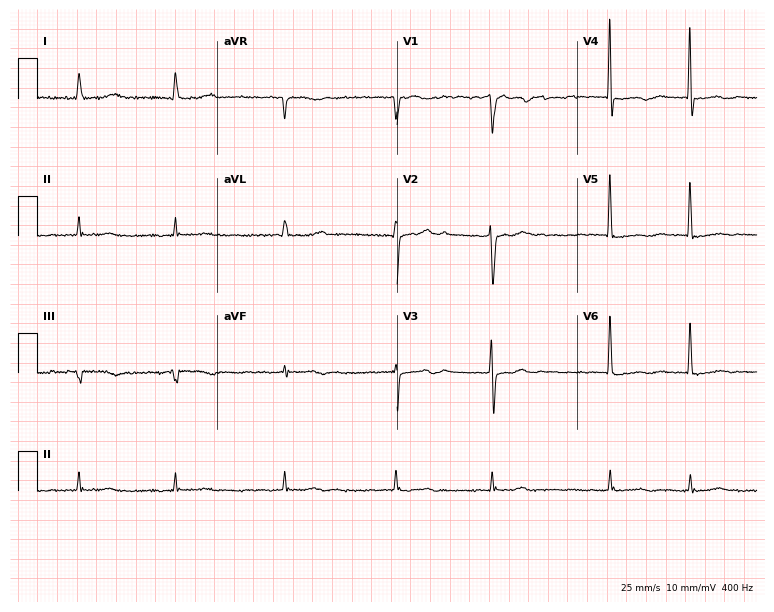
Standard 12-lead ECG recorded from an 82-year-old female patient. The tracing shows atrial fibrillation.